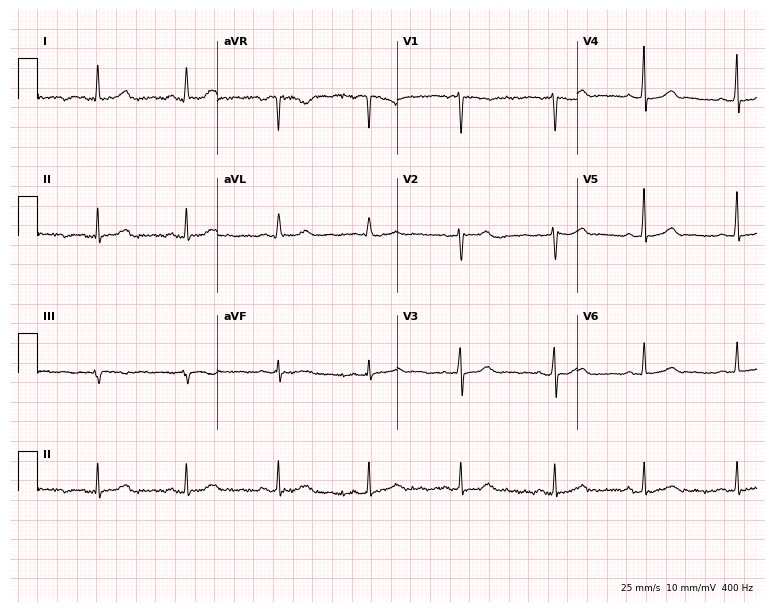
12-lead ECG (7.3-second recording at 400 Hz) from a 60-year-old woman. Labelled as a normal ECG.